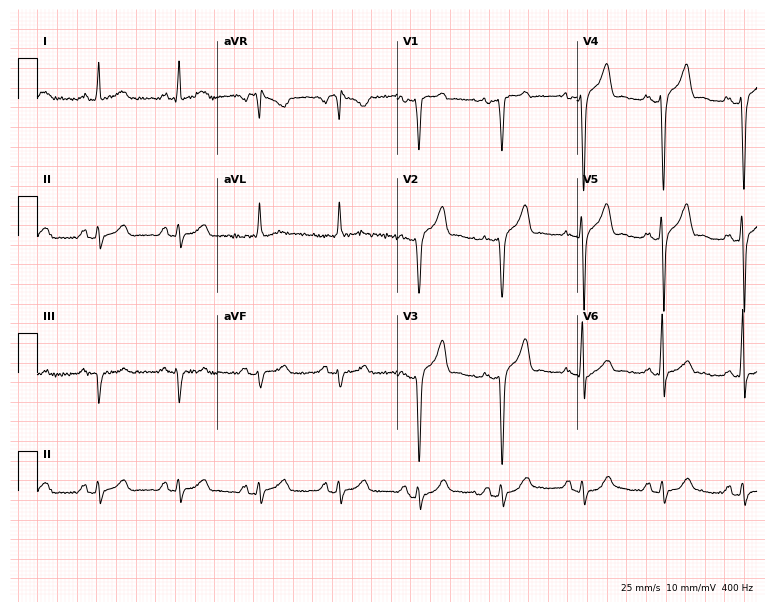
Electrocardiogram (7.3-second recording at 400 Hz), a male, 68 years old. Of the six screened findings (first-degree AV block, right bundle branch block, left bundle branch block, sinus bradycardia, atrial fibrillation, sinus tachycardia), none is recorded.